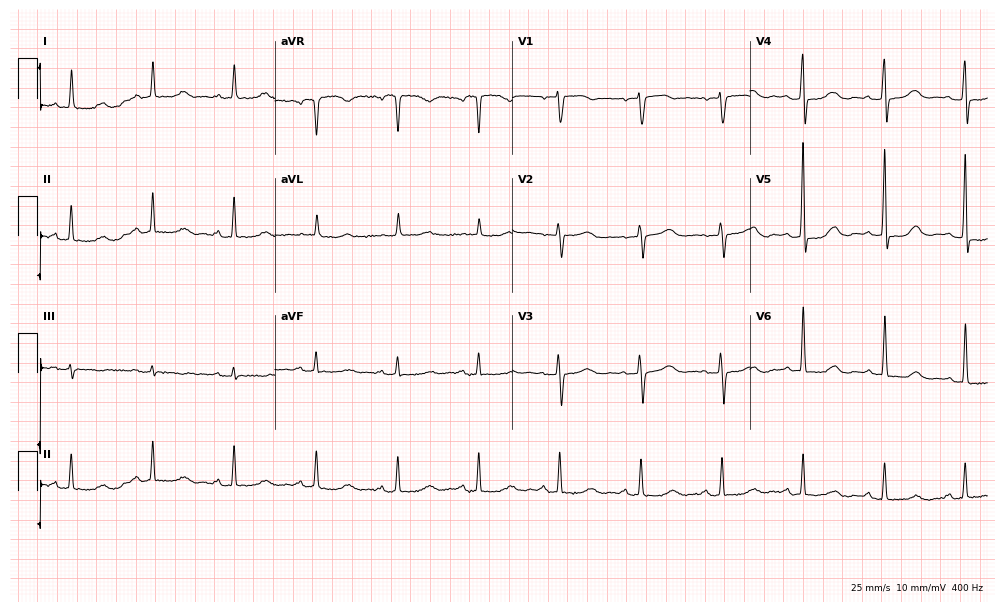
ECG (9.7-second recording at 400 Hz) — an 82-year-old female. Screened for six findings — first-degree AV block, right bundle branch block (RBBB), left bundle branch block (LBBB), sinus bradycardia, atrial fibrillation (AF), sinus tachycardia — none is recorded.